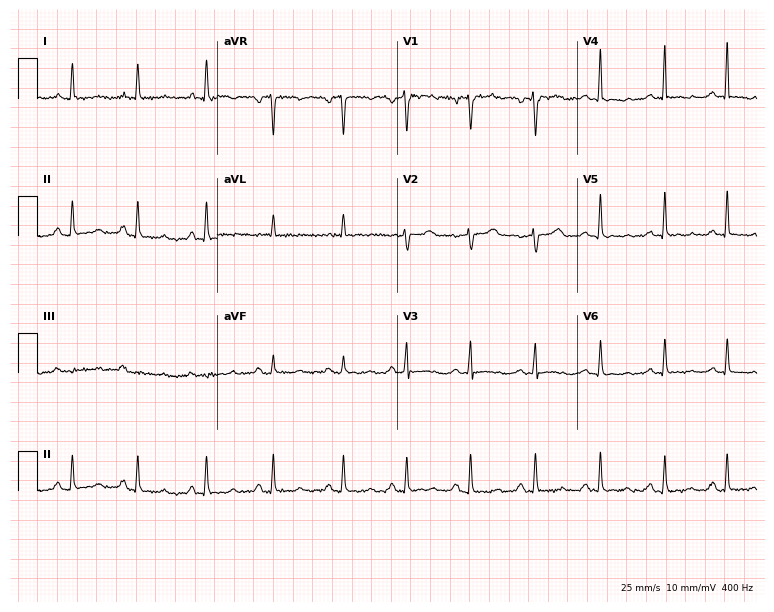
Electrocardiogram (7.3-second recording at 400 Hz), a 40-year-old female. Overall reading on record: normal ECG.